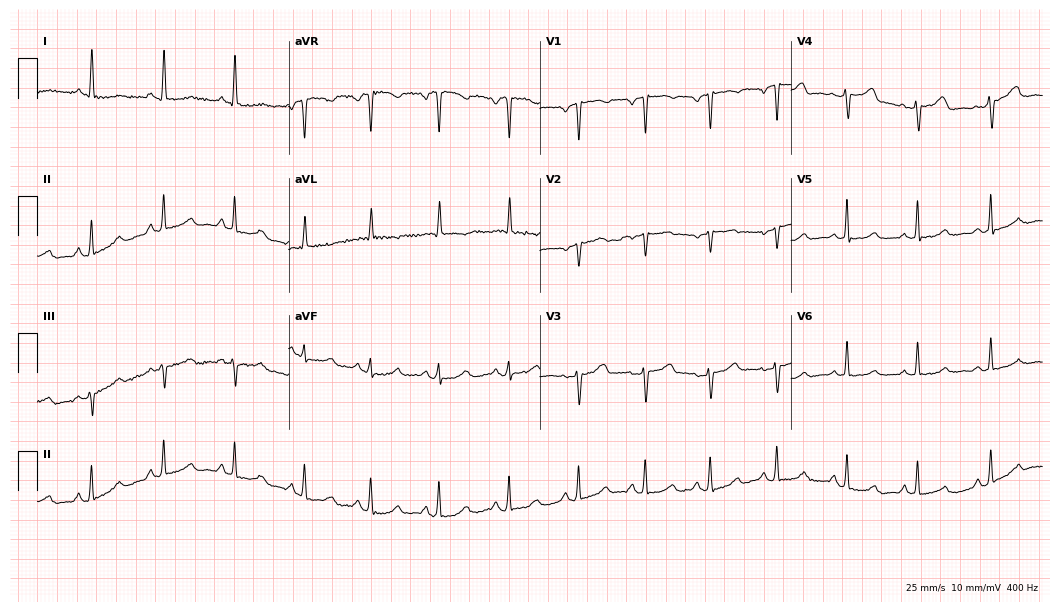
12-lead ECG from a female patient, 54 years old (10.2-second recording at 400 Hz). No first-degree AV block, right bundle branch block, left bundle branch block, sinus bradycardia, atrial fibrillation or sinus tachycardia recorded for this tracing.